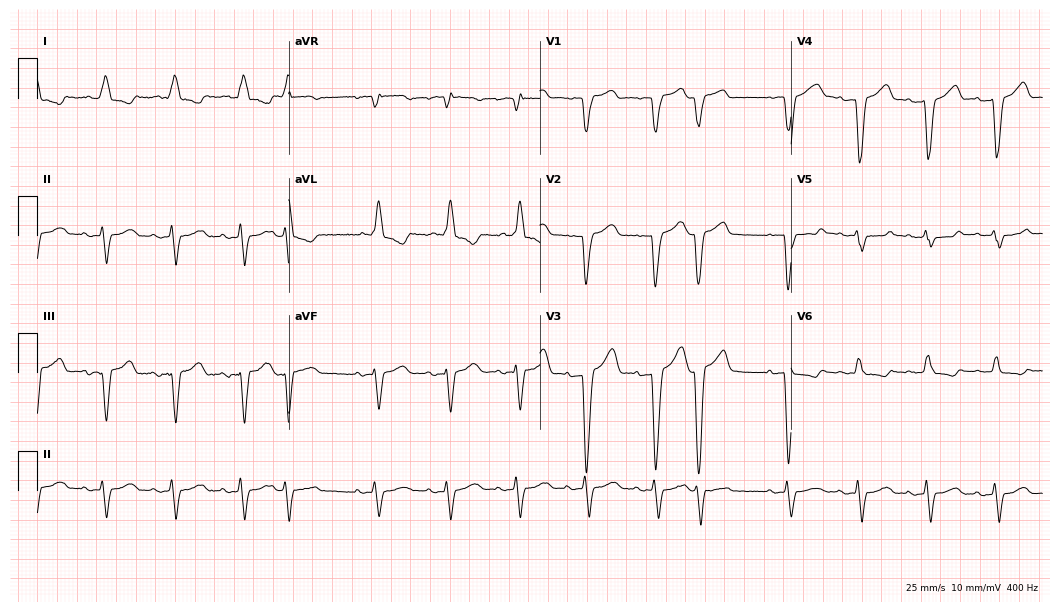
Electrocardiogram, a female patient, 83 years old. Interpretation includes left bundle branch block.